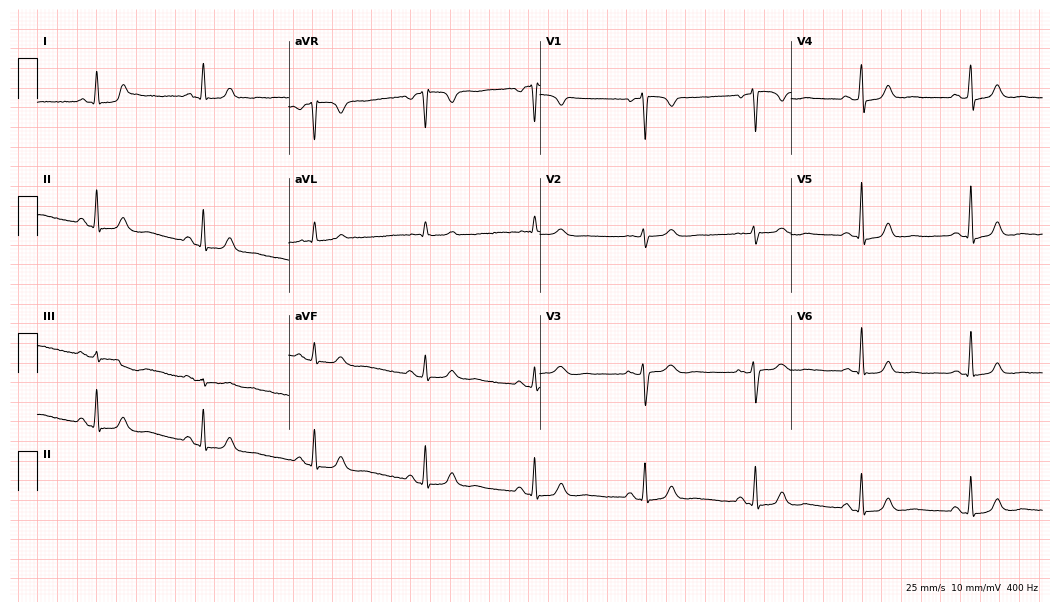
12-lead ECG (10.2-second recording at 400 Hz) from a 62-year-old woman. Labelled as a normal ECG.